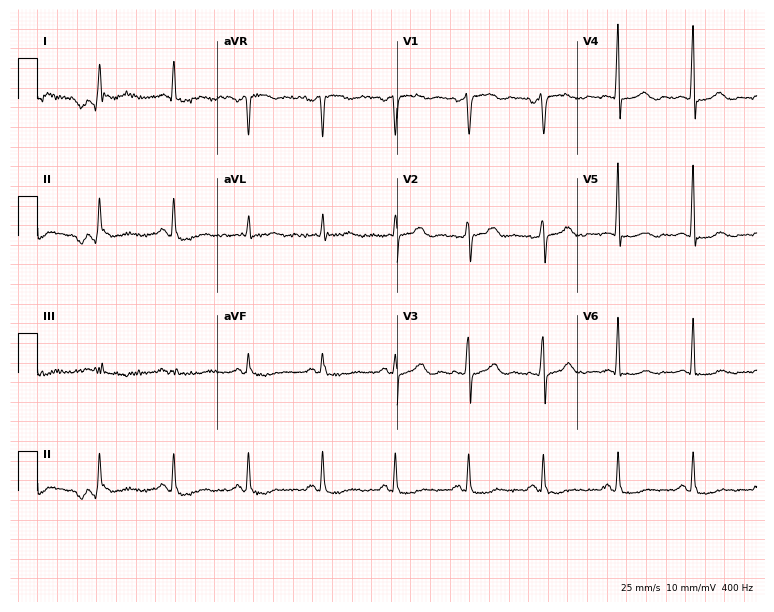
ECG (7.3-second recording at 400 Hz) — a male, 79 years old. Labelled as a normal ECG.